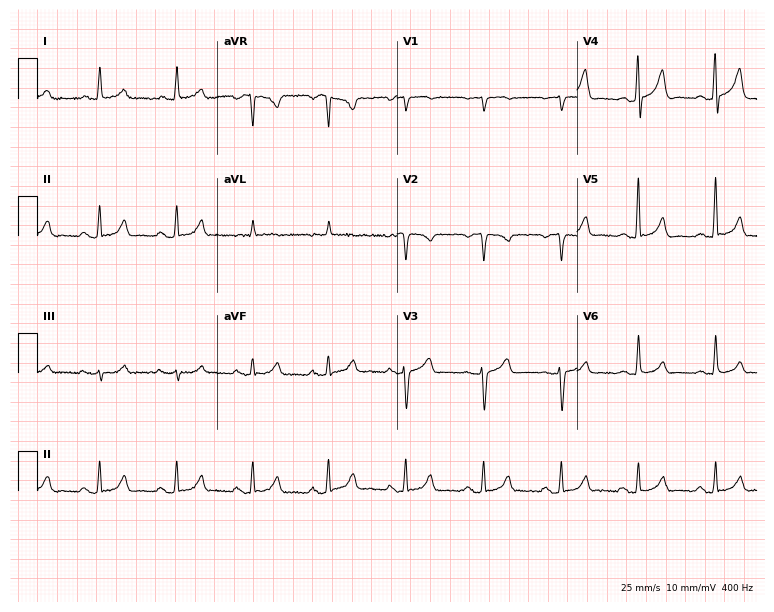
Resting 12-lead electrocardiogram (7.3-second recording at 400 Hz). Patient: a woman, 76 years old. None of these six findings is recorded: first-degree AV block, right bundle branch block, left bundle branch block, sinus bradycardia, atrial fibrillation, sinus tachycardia.